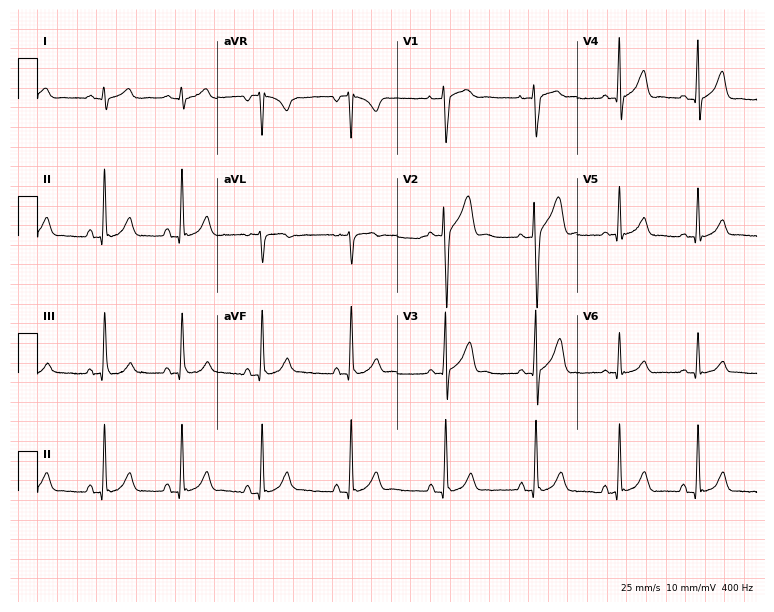
12-lead ECG from a man, 26 years old. Recorded interpretation: within normal limits.